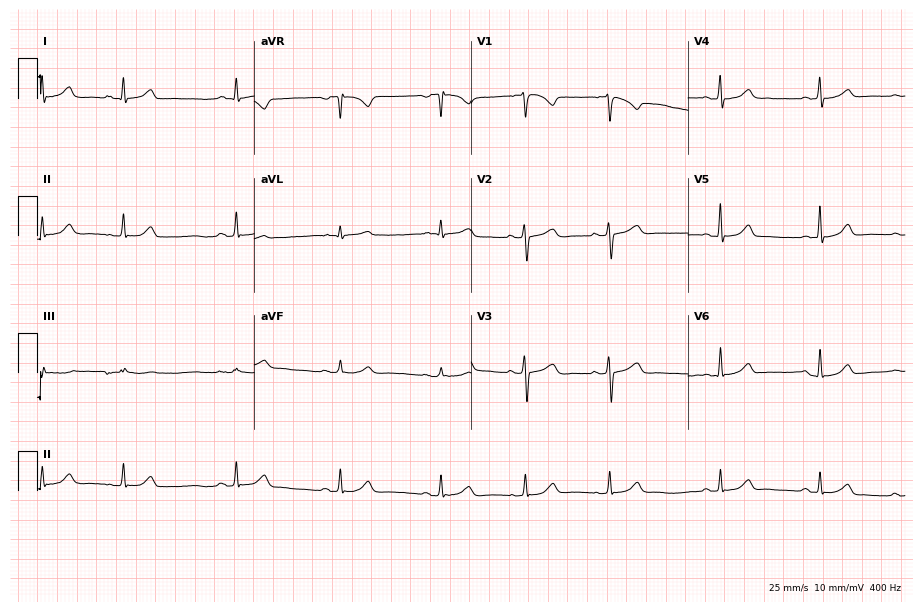
Electrocardiogram (8.8-second recording at 400 Hz), a 34-year-old female. Overall reading on record: normal ECG.